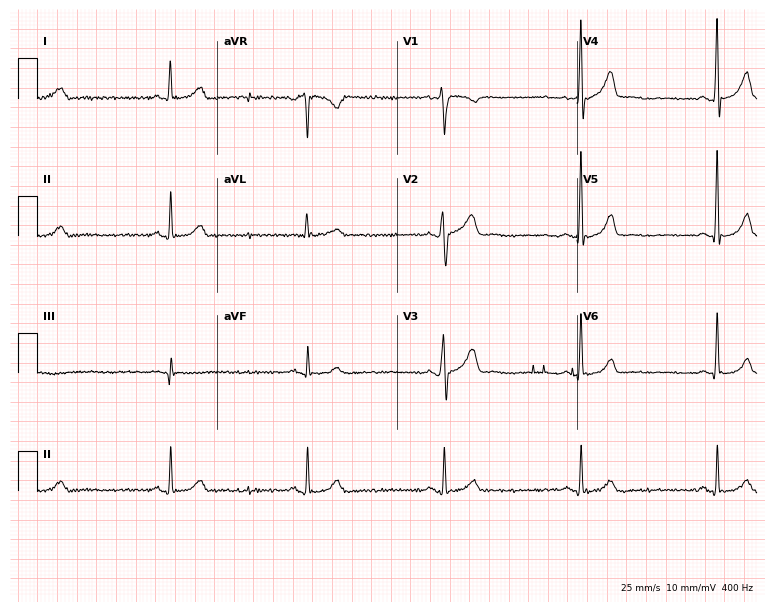
Electrocardiogram, a 43-year-old male. Interpretation includes sinus bradycardia (a sinus rate of 50 beats per minute or less).